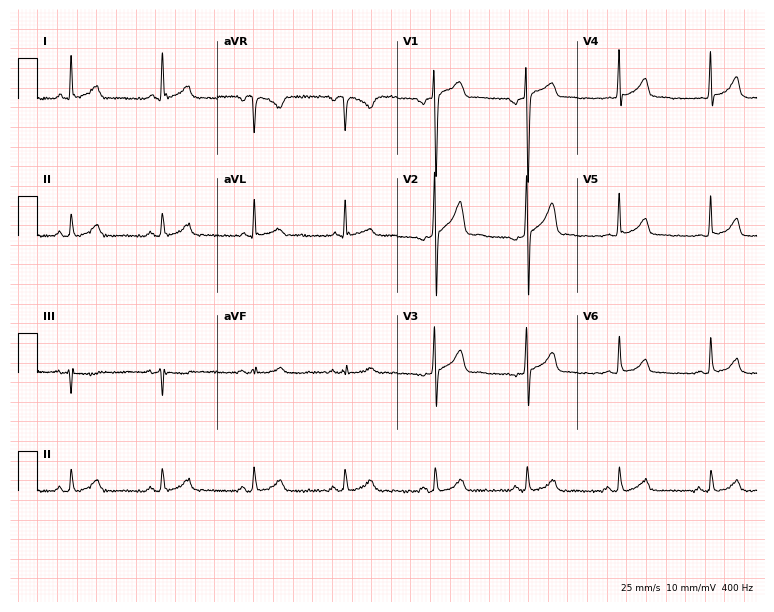
Standard 12-lead ECG recorded from a male patient, 29 years old. Read as a normal ECG.